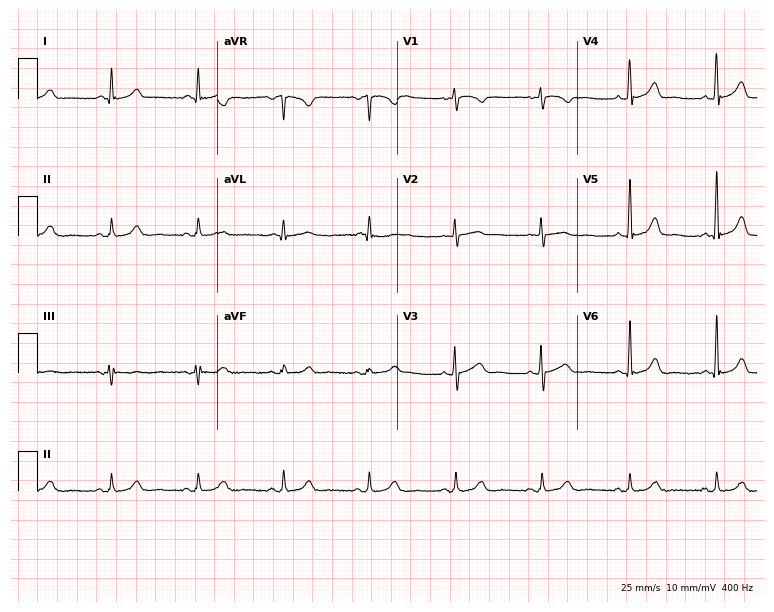
12-lead ECG from a 70-year-old female patient (7.3-second recording at 400 Hz). Recorded interpretation: within normal limits.